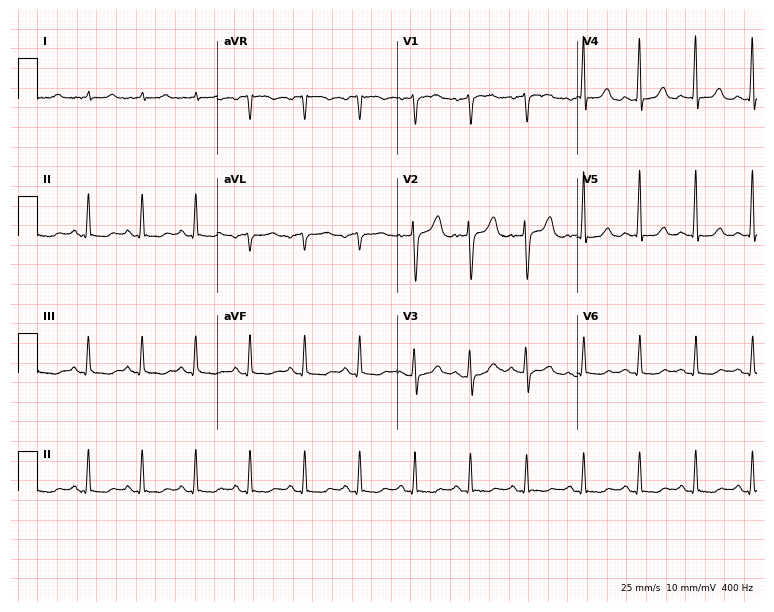
Resting 12-lead electrocardiogram (7.3-second recording at 400 Hz). Patient: a 64-year-old female. The tracing shows sinus tachycardia (a sinus rate of 100 beats per minute or more).